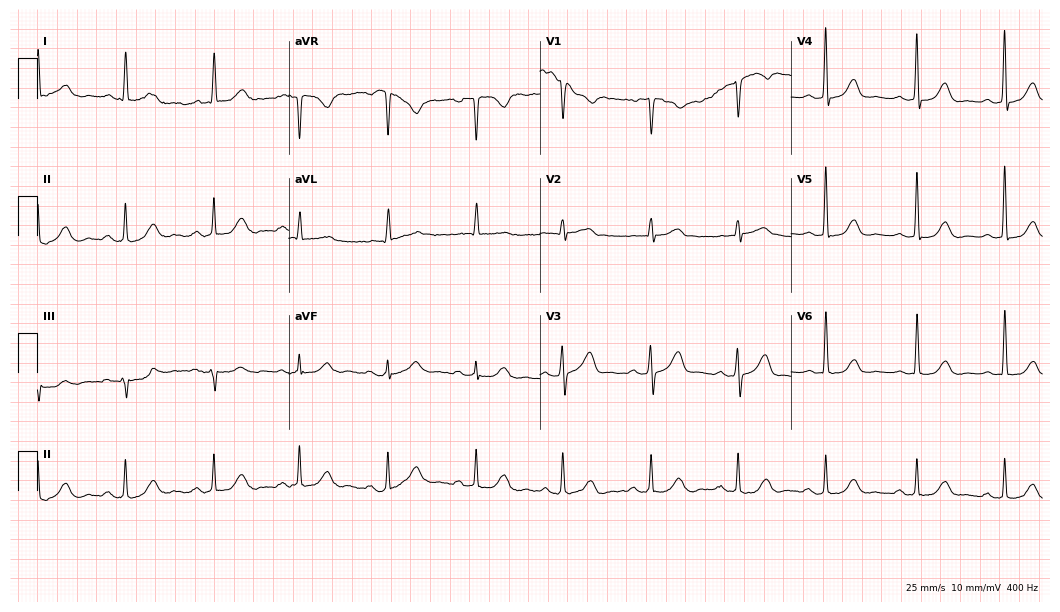
12-lead ECG from a male, 78 years old (10.2-second recording at 400 Hz). Shows first-degree AV block.